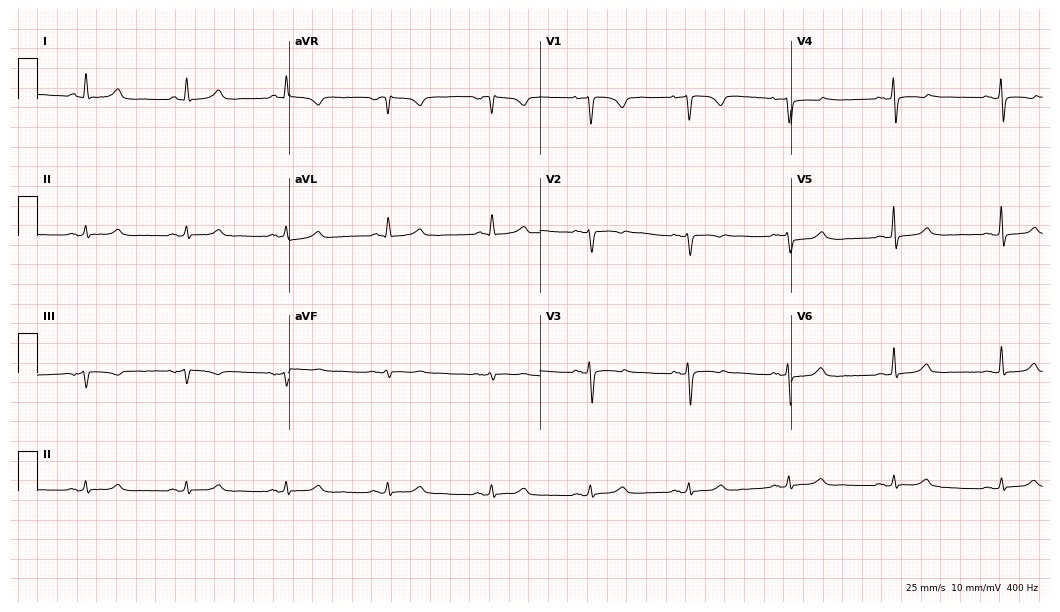
ECG — a 50-year-old female. Labelled as a normal ECG.